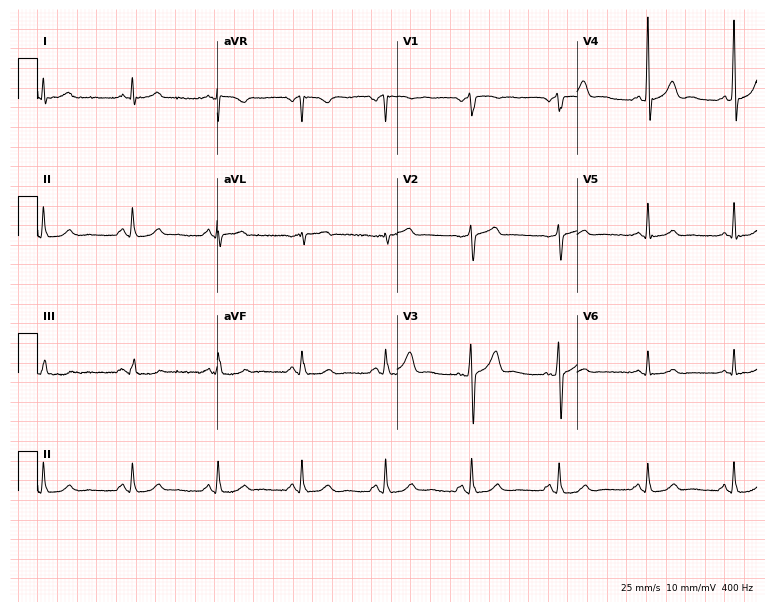
Standard 12-lead ECG recorded from a male, 59 years old. None of these six findings is recorded: first-degree AV block, right bundle branch block, left bundle branch block, sinus bradycardia, atrial fibrillation, sinus tachycardia.